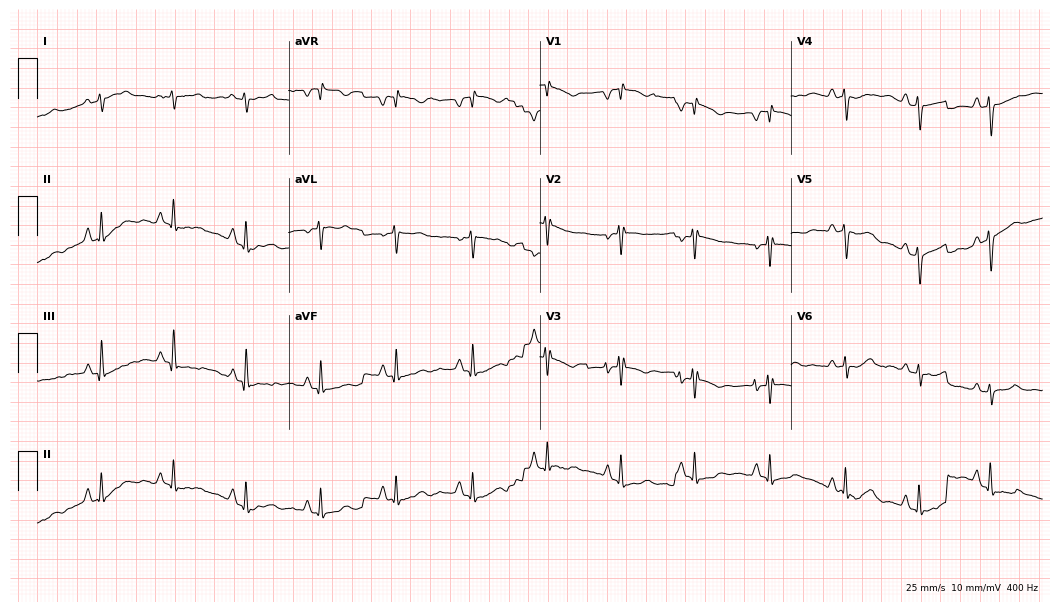
Standard 12-lead ECG recorded from a woman, 32 years old (10.2-second recording at 400 Hz). None of these six findings is recorded: first-degree AV block, right bundle branch block, left bundle branch block, sinus bradycardia, atrial fibrillation, sinus tachycardia. Findings outside these six are not listed.